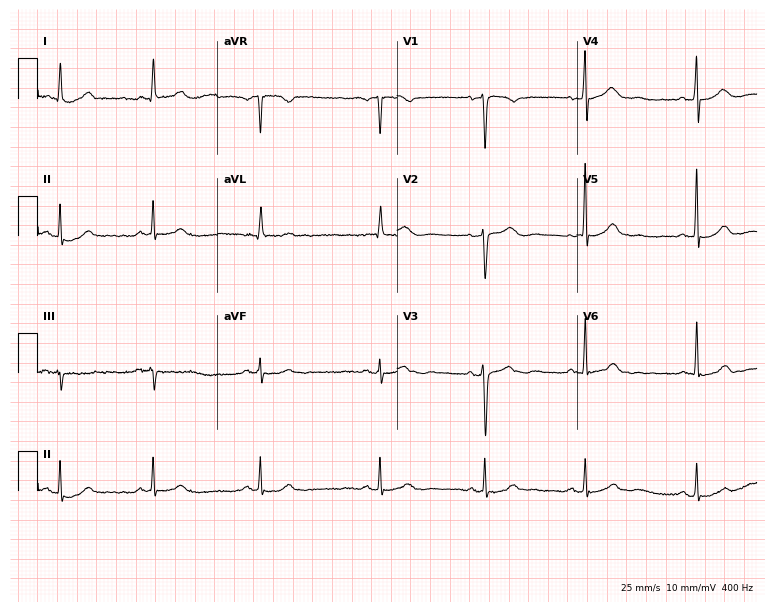
Standard 12-lead ECG recorded from a female, 48 years old (7.3-second recording at 400 Hz). Read as a normal ECG.